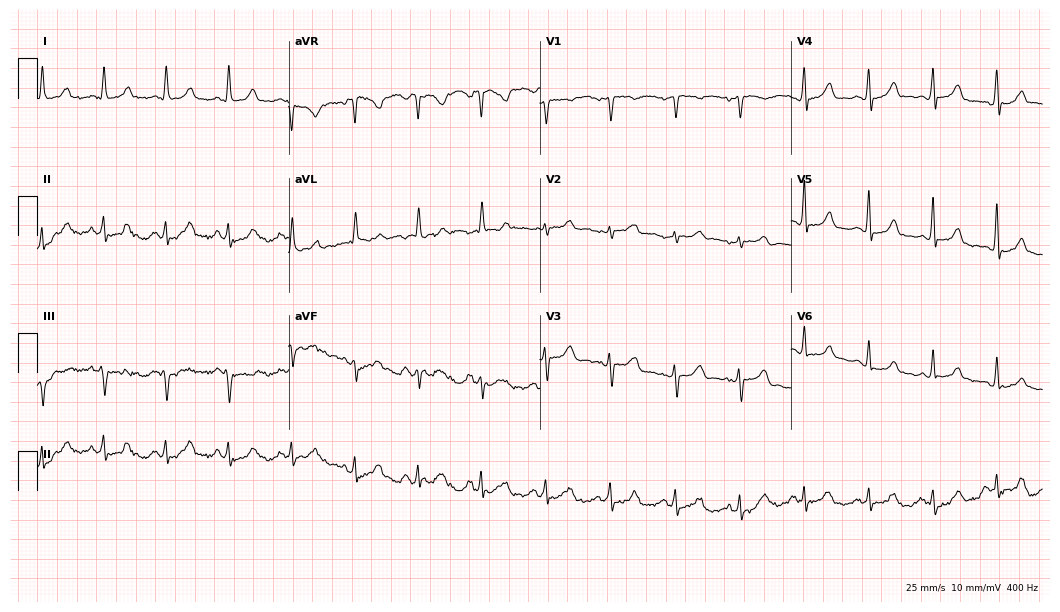
12-lead ECG from a 64-year-old man (10.2-second recording at 400 Hz). No first-degree AV block, right bundle branch block, left bundle branch block, sinus bradycardia, atrial fibrillation or sinus tachycardia recorded for this tracing.